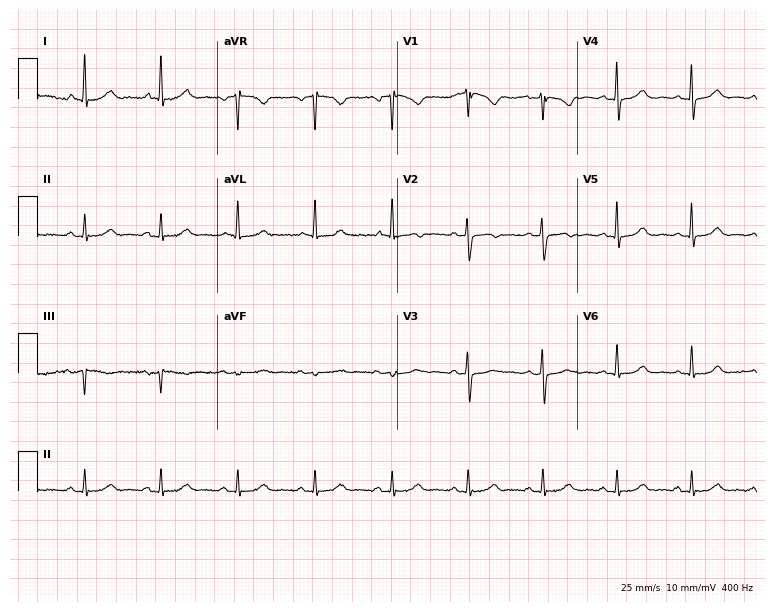
12-lead ECG from a woman, 59 years old (7.3-second recording at 400 Hz). Recorded interpretation: within normal limits.